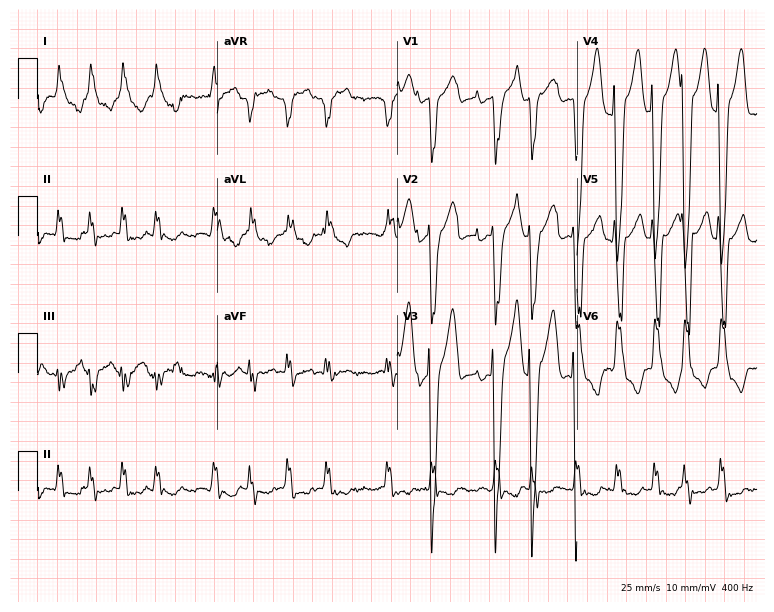
ECG (7.3-second recording at 400 Hz) — a 69-year-old female. Findings include left bundle branch block (LBBB), atrial fibrillation (AF).